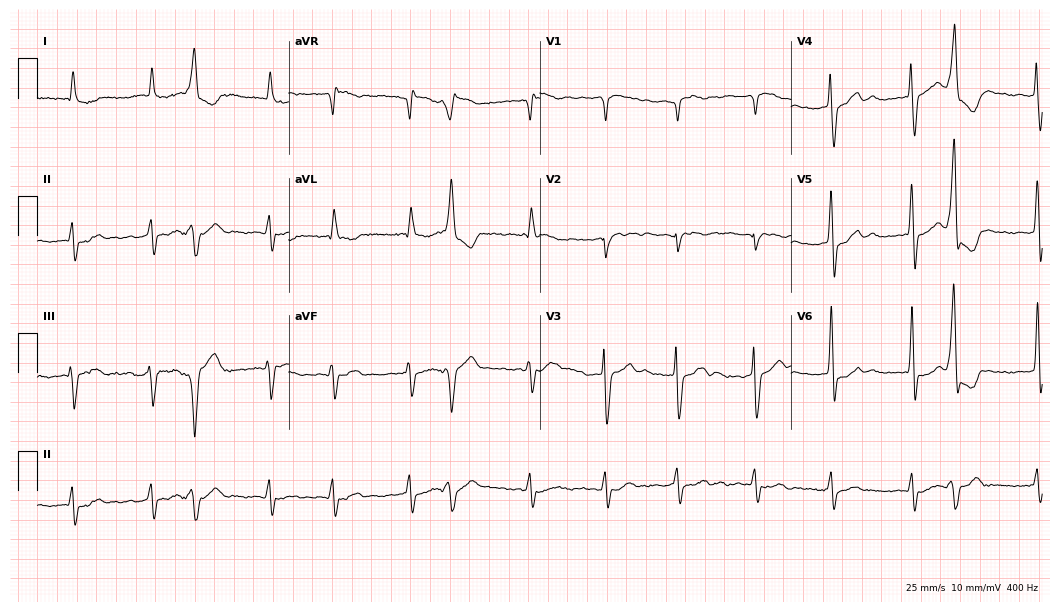
ECG — a woman, 81 years old. Findings include atrial fibrillation.